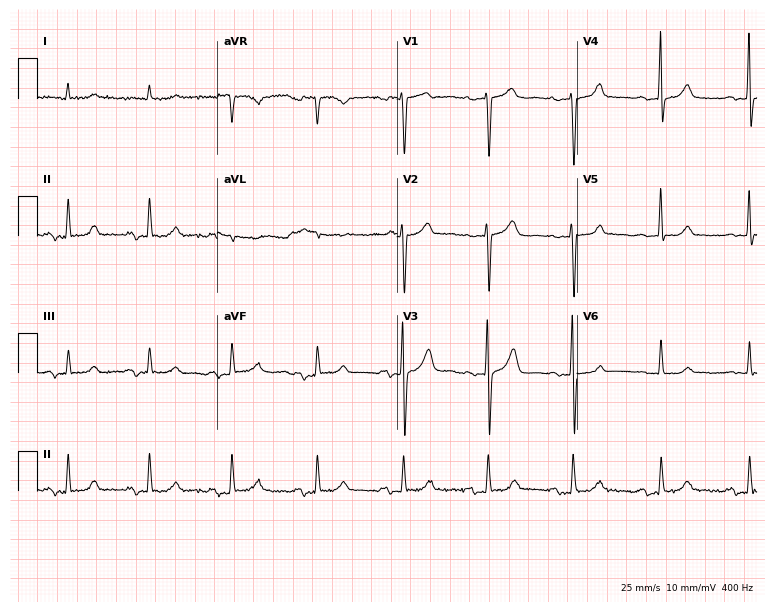
Standard 12-lead ECG recorded from a female, 73 years old. The tracing shows first-degree AV block.